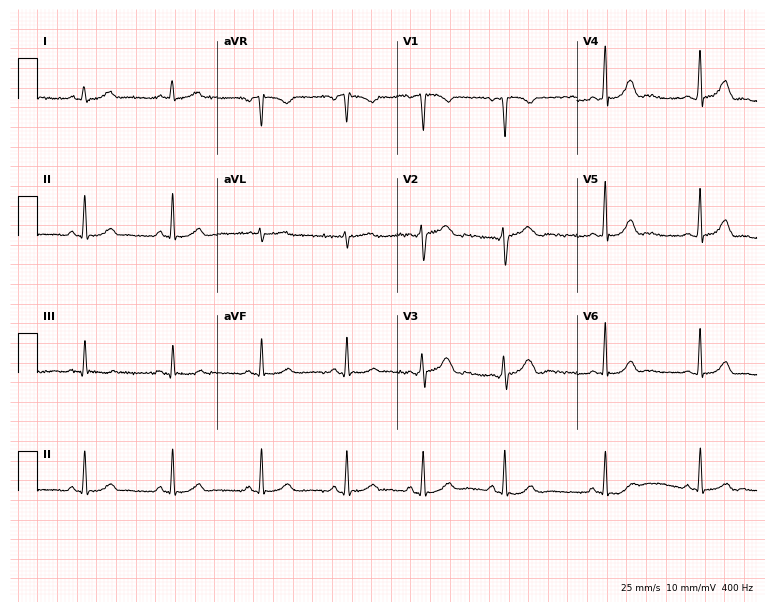
ECG (7.3-second recording at 400 Hz) — a 22-year-old female. Screened for six findings — first-degree AV block, right bundle branch block, left bundle branch block, sinus bradycardia, atrial fibrillation, sinus tachycardia — none is recorded. Only these six findings were labelled.